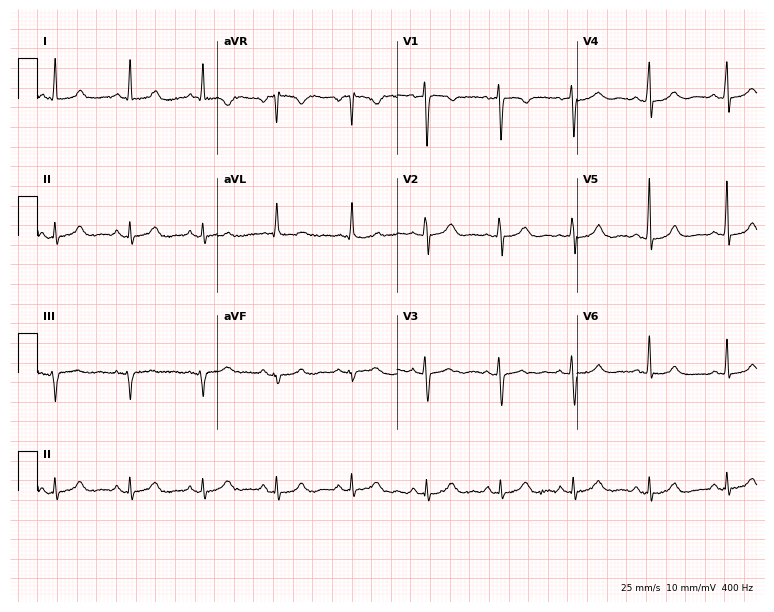
12-lead ECG from a female, 61 years old. Recorded interpretation: within normal limits.